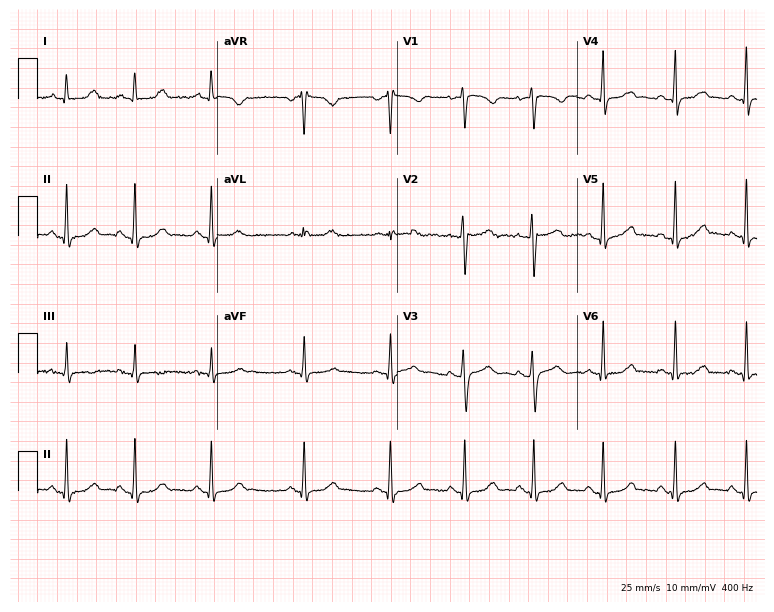
12-lead ECG from a 24-year-old female patient. Recorded interpretation: within normal limits.